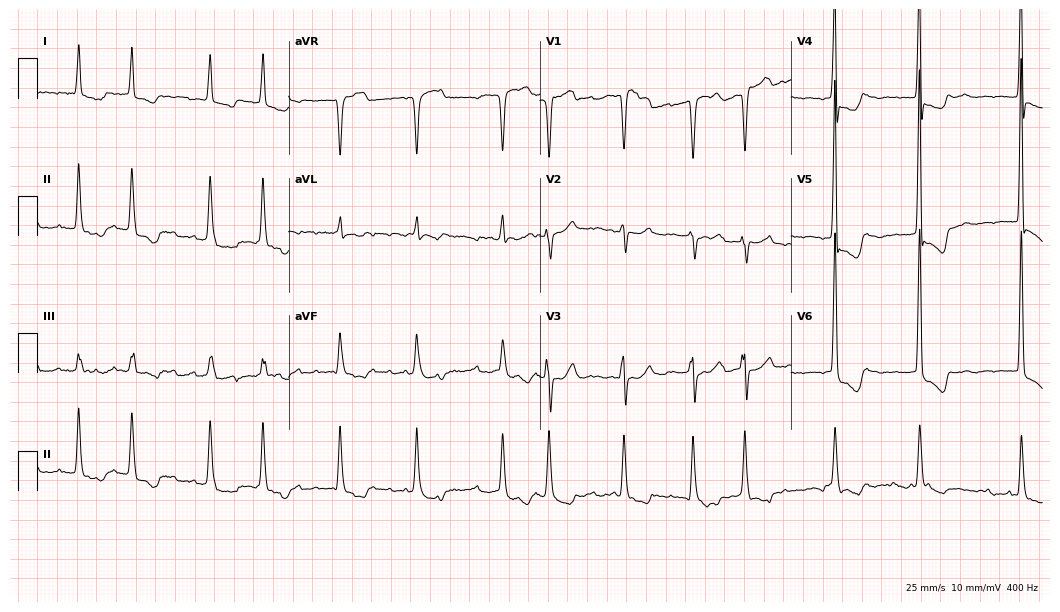
Standard 12-lead ECG recorded from a 79-year-old female. The tracing shows atrial fibrillation (AF).